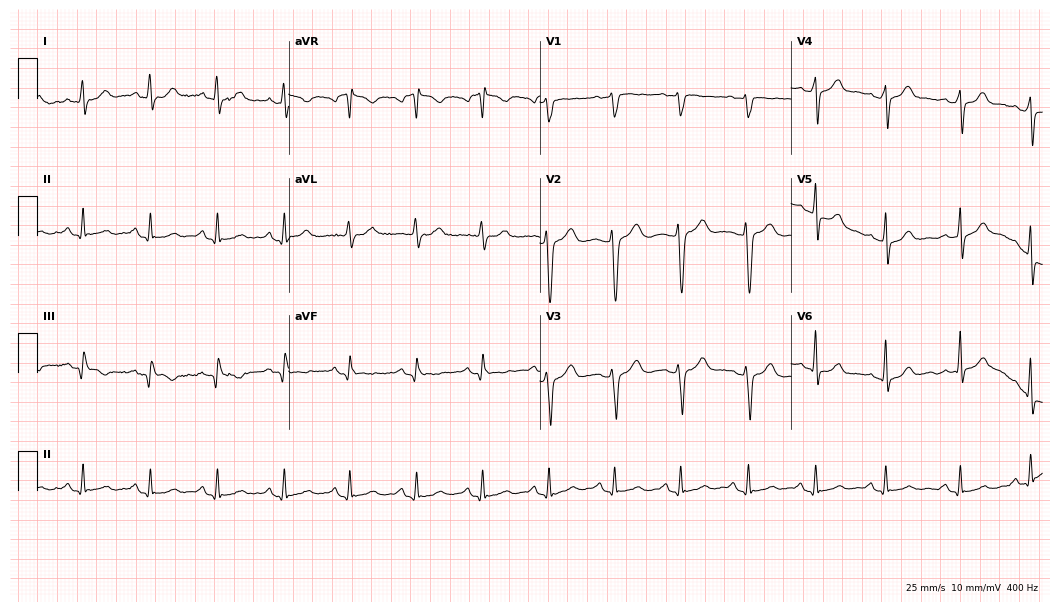
ECG — a 28-year-old woman. Screened for six findings — first-degree AV block, right bundle branch block, left bundle branch block, sinus bradycardia, atrial fibrillation, sinus tachycardia — none is recorded. Only these six findings were labelled.